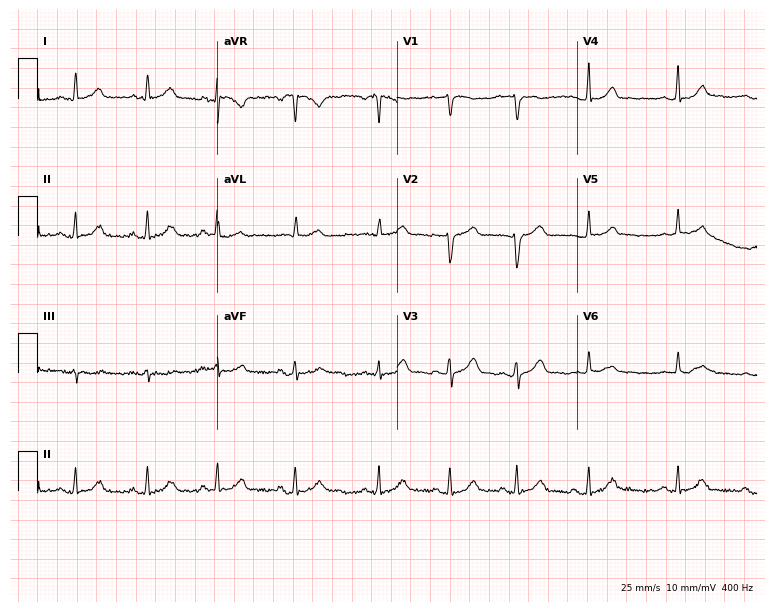
12-lead ECG from a female patient, 23 years old (7.3-second recording at 400 Hz). Recorded interpretation: within normal limits.